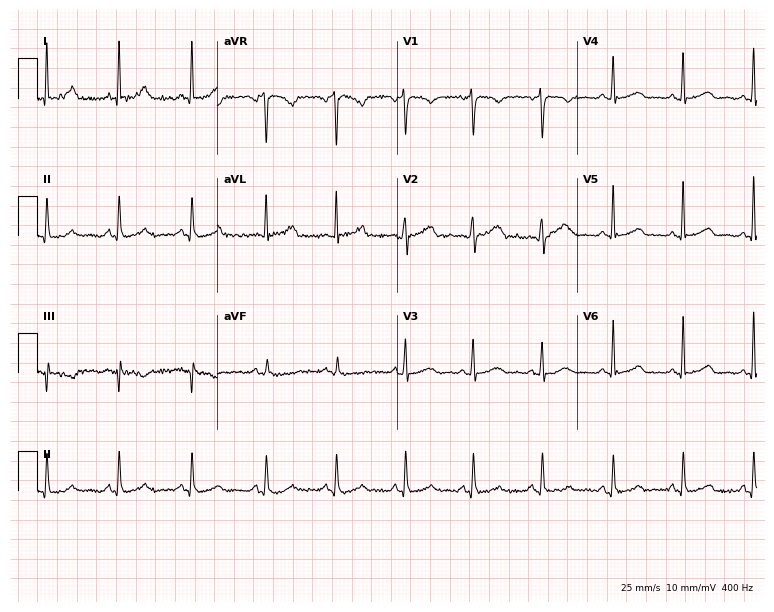
Electrocardiogram (7.3-second recording at 400 Hz), a 43-year-old woman. Overall reading on record: normal ECG.